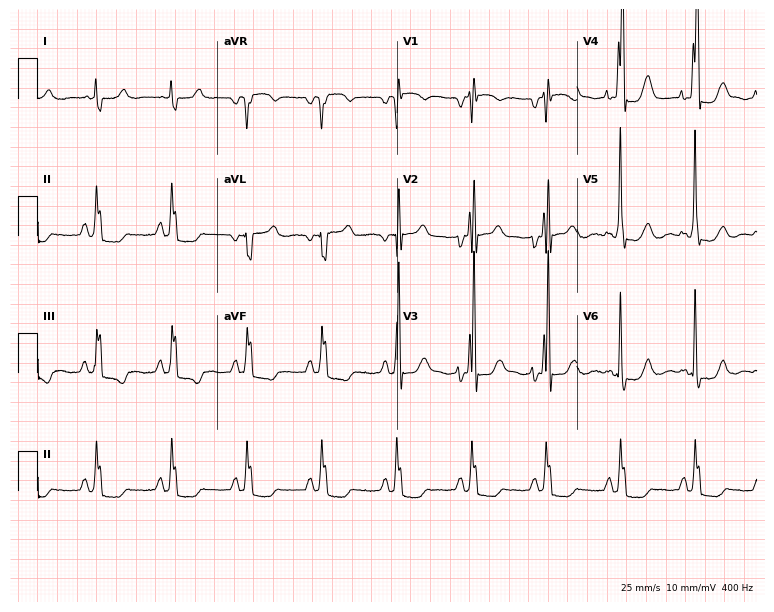
Electrocardiogram (7.3-second recording at 400 Hz), a female patient, 46 years old. Of the six screened findings (first-degree AV block, right bundle branch block (RBBB), left bundle branch block (LBBB), sinus bradycardia, atrial fibrillation (AF), sinus tachycardia), none is recorded.